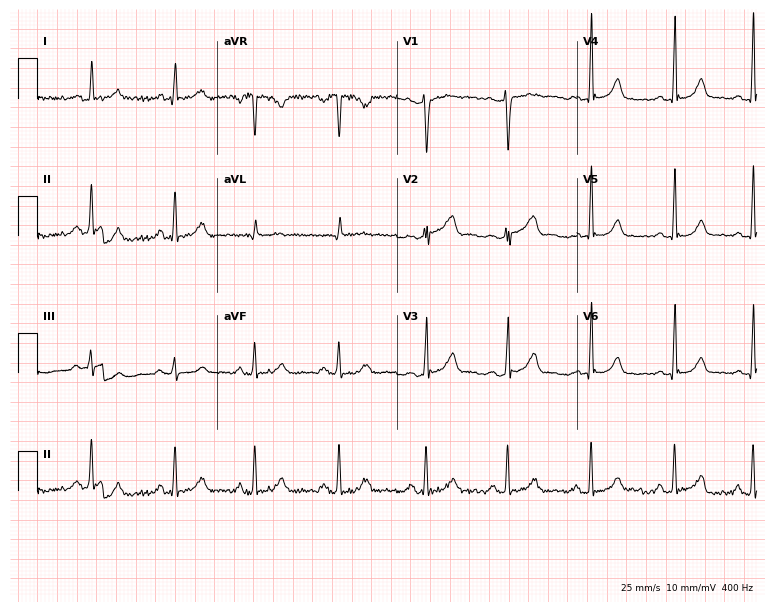
ECG — a female, 40 years old. Labelled as a normal ECG.